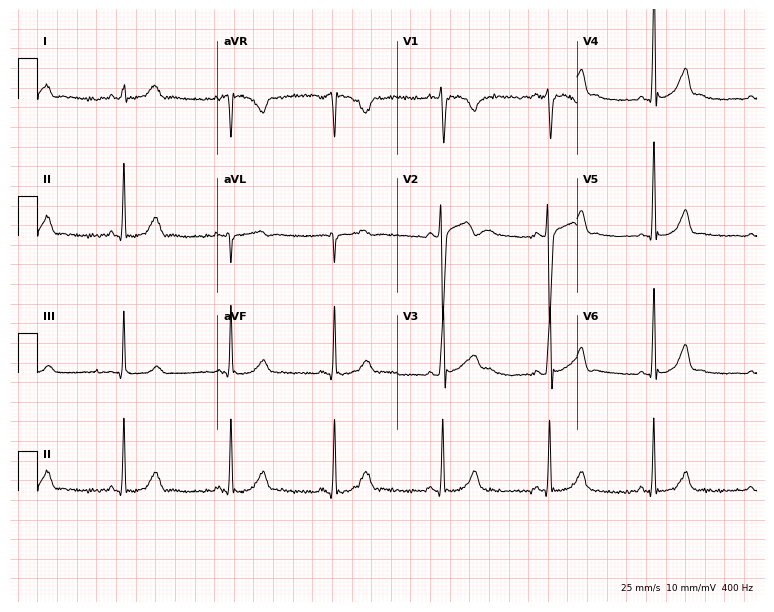
Standard 12-lead ECG recorded from a male patient, 27 years old (7.3-second recording at 400 Hz). None of these six findings is recorded: first-degree AV block, right bundle branch block, left bundle branch block, sinus bradycardia, atrial fibrillation, sinus tachycardia. Other findings, if any, are not listed.